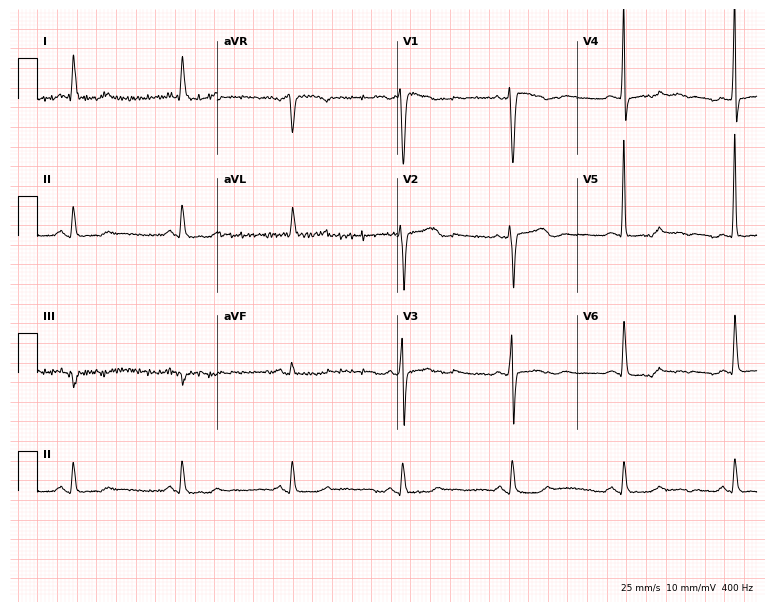
12-lead ECG from a woman, 71 years old. Screened for six findings — first-degree AV block, right bundle branch block, left bundle branch block, sinus bradycardia, atrial fibrillation, sinus tachycardia — none is recorded. Findings outside these six are not listed.